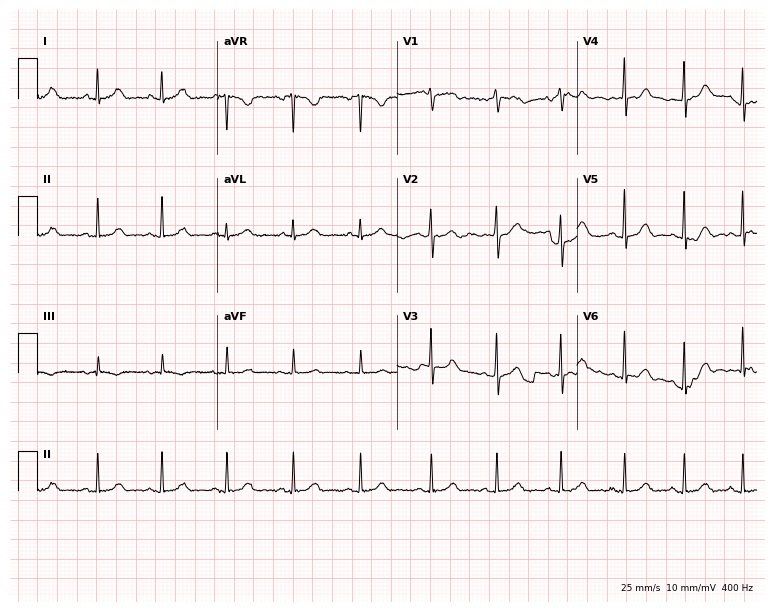
Standard 12-lead ECG recorded from a 32-year-old female. Read as a normal ECG.